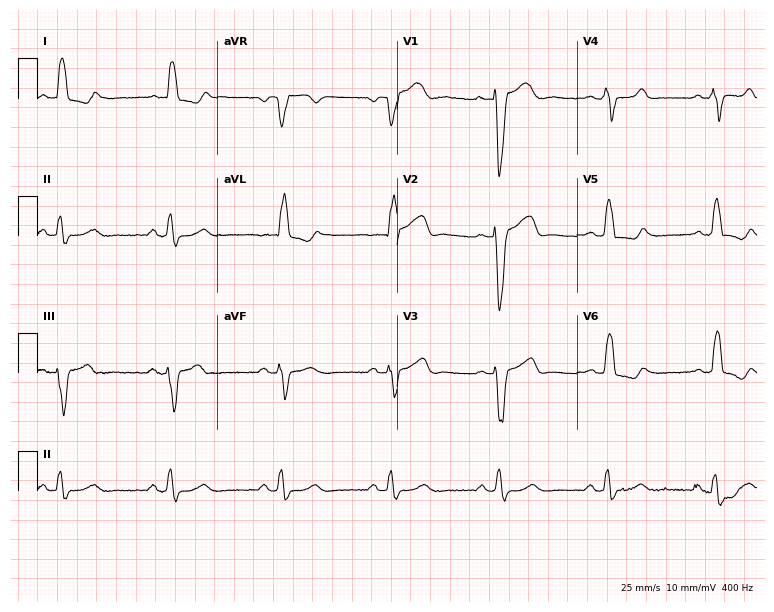
Electrocardiogram, a woman, 79 years old. Interpretation includes left bundle branch block (LBBB).